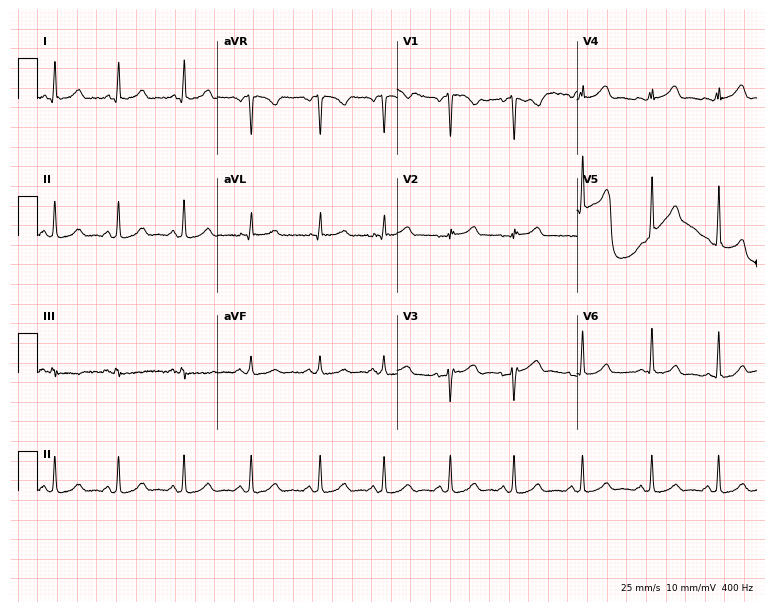
12-lead ECG from a female, 35 years old. Labelled as a normal ECG.